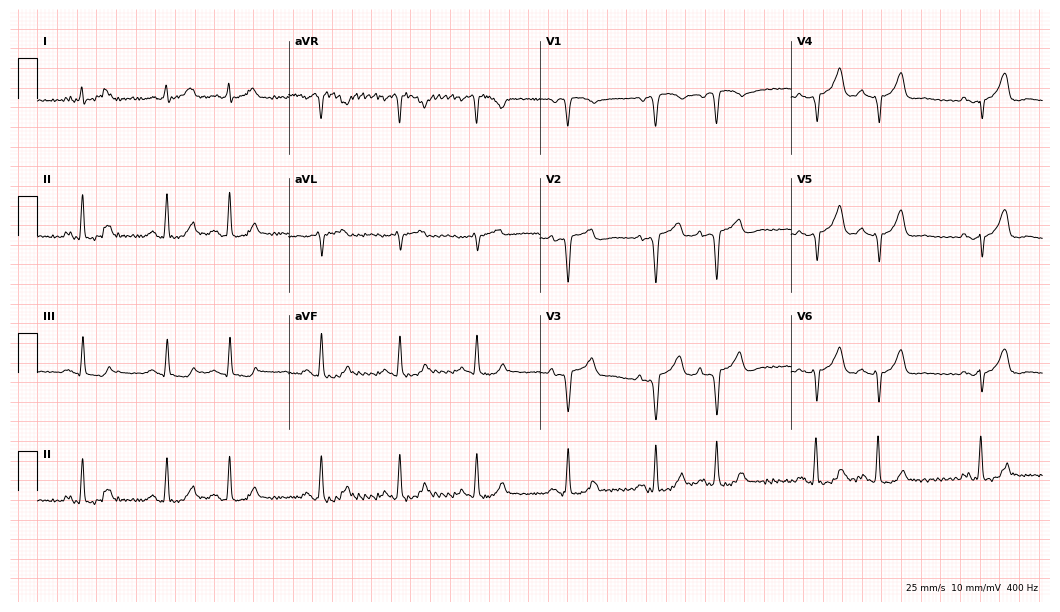
Standard 12-lead ECG recorded from a man, 81 years old. None of these six findings is recorded: first-degree AV block, right bundle branch block, left bundle branch block, sinus bradycardia, atrial fibrillation, sinus tachycardia.